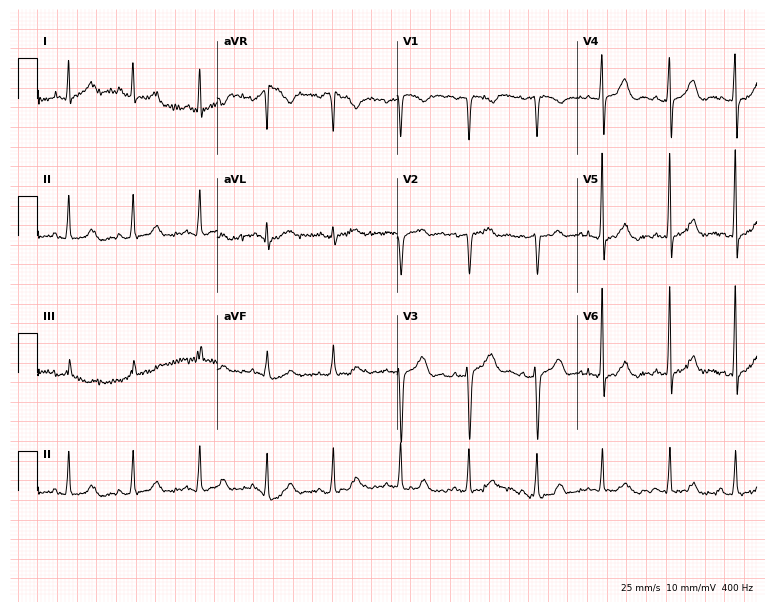
Electrocardiogram (7.3-second recording at 400 Hz), a 34-year-old woman. Of the six screened findings (first-degree AV block, right bundle branch block (RBBB), left bundle branch block (LBBB), sinus bradycardia, atrial fibrillation (AF), sinus tachycardia), none is recorded. Only these six findings were labelled.